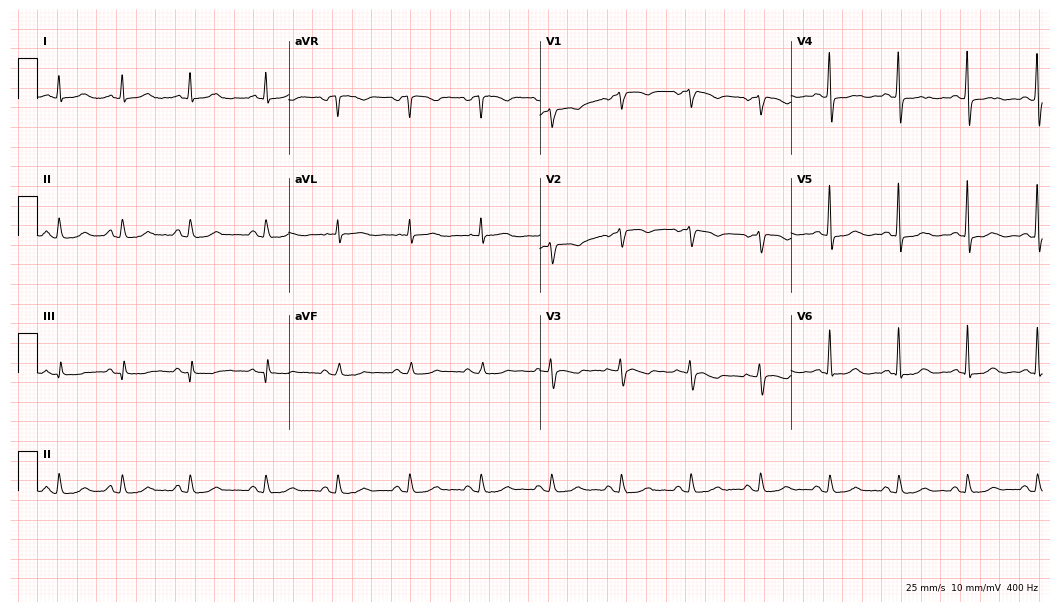
Resting 12-lead electrocardiogram. Patient: a 60-year-old woman. Read as a normal ECG.